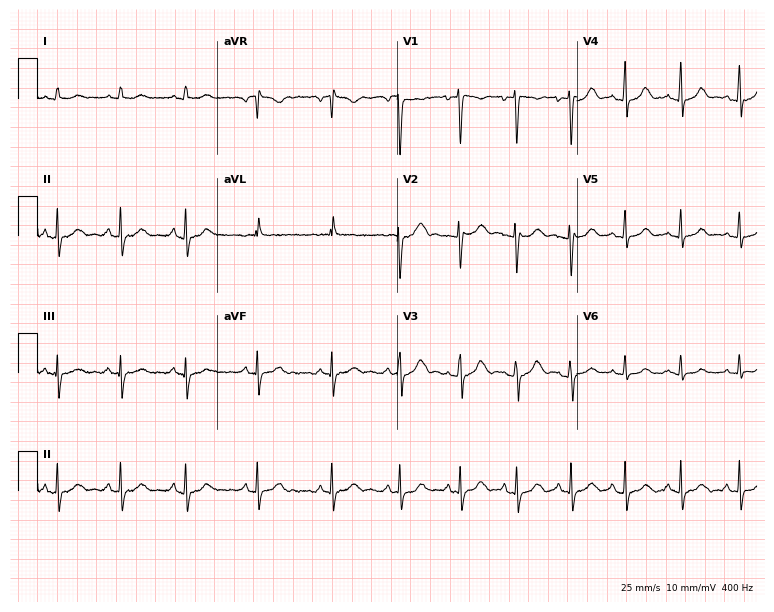
ECG (7.3-second recording at 400 Hz) — a 20-year-old woman. Screened for six findings — first-degree AV block, right bundle branch block, left bundle branch block, sinus bradycardia, atrial fibrillation, sinus tachycardia — none is recorded. Other findings, if any, are not listed.